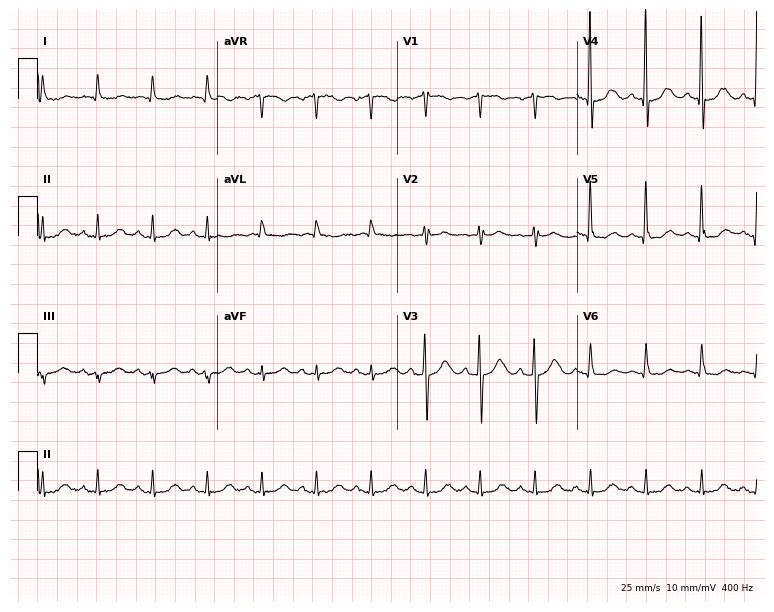
Standard 12-lead ECG recorded from a woman, 90 years old or older (7.3-second recording at 400 Hz). The tracing shows sinus tachycardia (a sinus rate of 100 beats per minute or more).